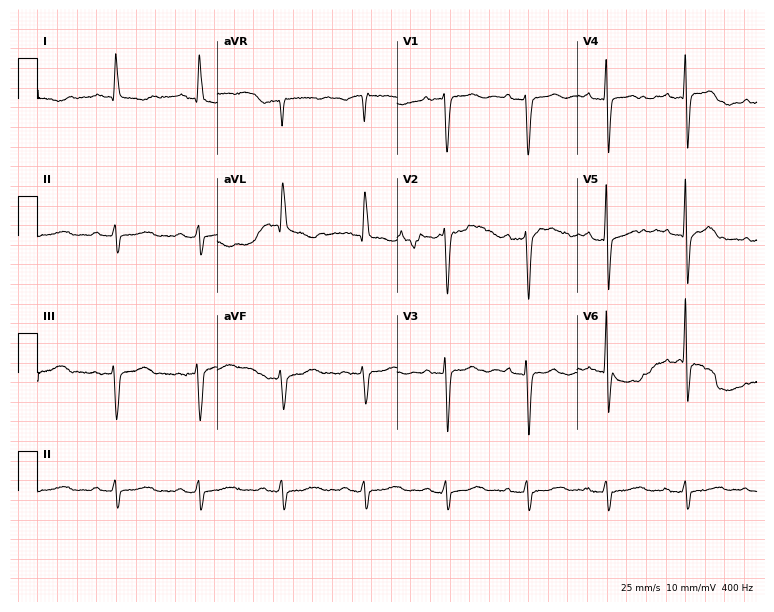
12-lead ECG (7.3-second recording at 400 Hz) from an 84-year-old female patient. Screened for six findings — first-degree AV block, right bundle branch block, left bundle branch block, sinus bradycardia, atrial fibrillation, sinus tachycardia — none is recorded.